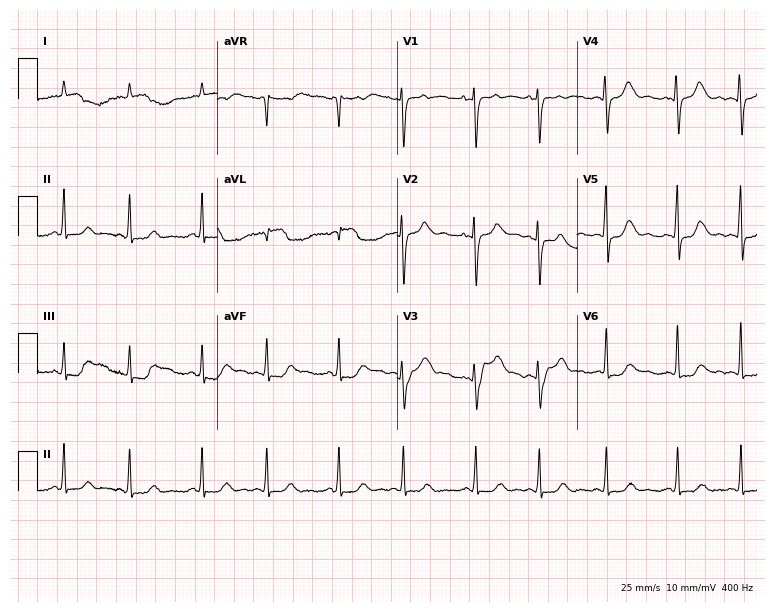
Electrocardiogram, a woman, 66 years old. Of the six screened findings (first-degree AV block, right bundle branch block, left bundle branch block, sinus bradycardia, atrial fibrillation, sinus tachycardia), none is recorded.